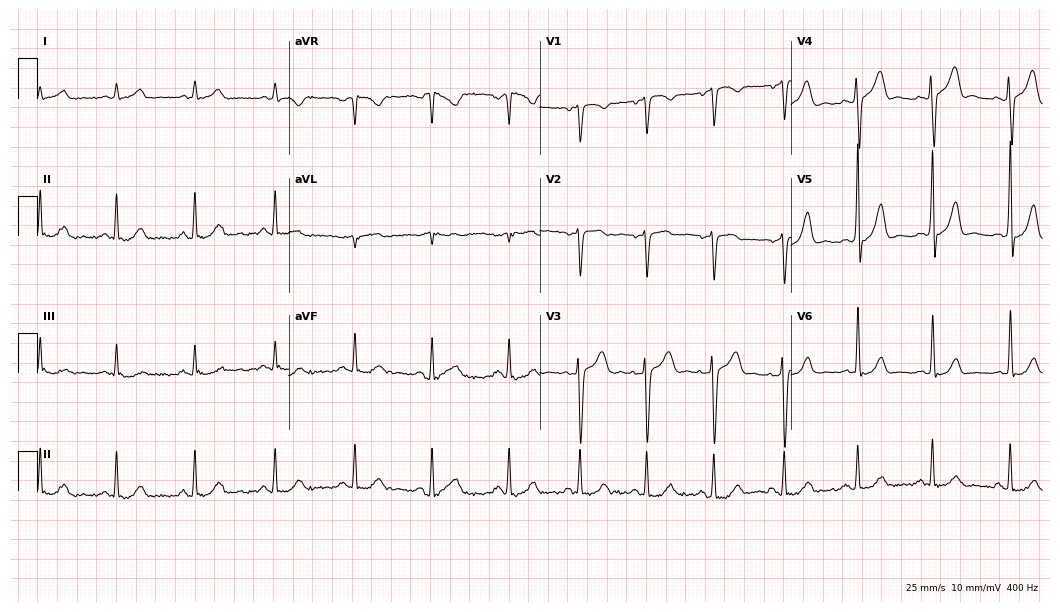
ECG — a man, 53 years old. Screened for six findings — first-degree AV block, right bundle branch block, left bundle branch block, sinus bradycardia, atrial fibrillation, sinus tachycardia — none is recorded. Only these six findings were labelled.